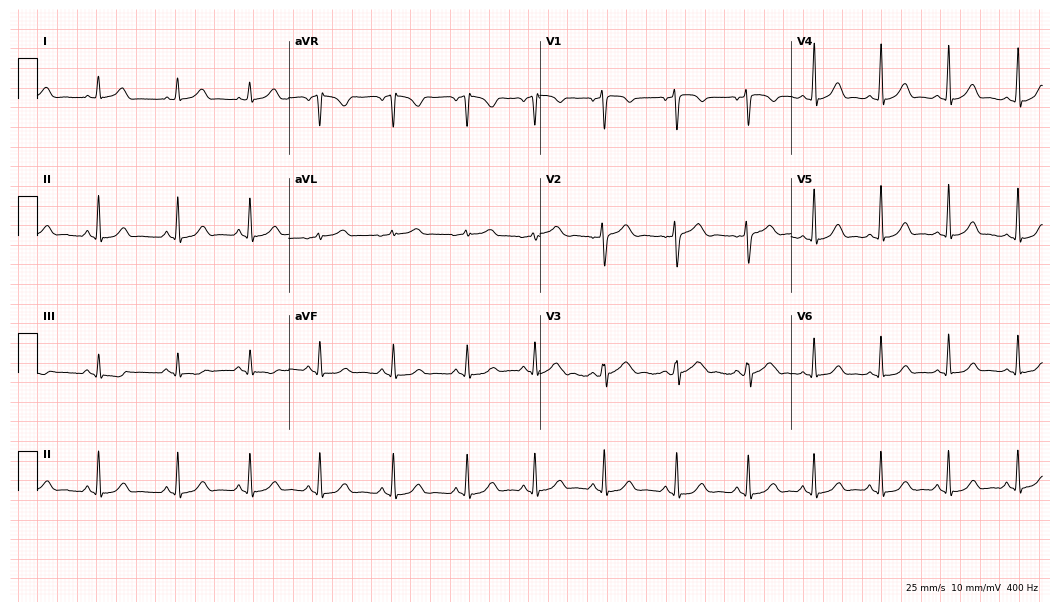
Electrocardiogram, a female patient, 27 years old. Overall reading on record: normal ECG.